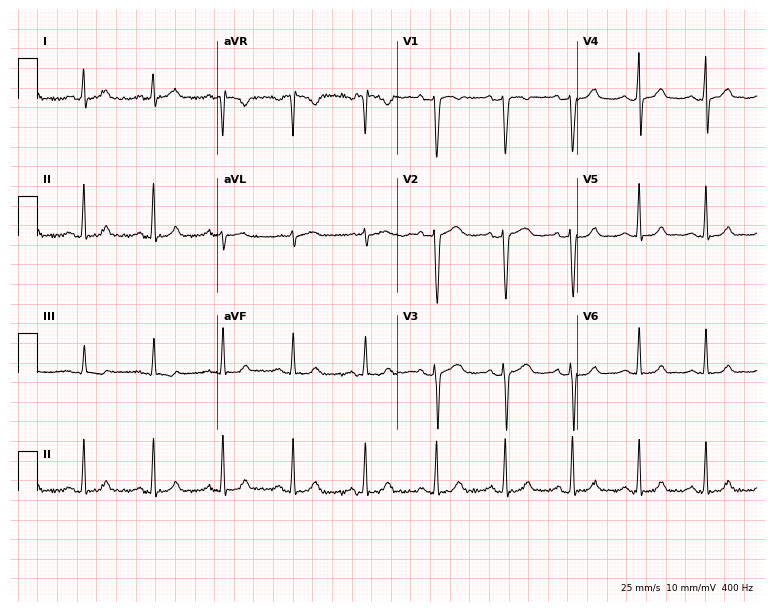
12-lead ECG from a 41-year-old female patient. No first-degree AV block, right bundle branch block, left bundle branch block, sinus bradycardia, atrial fibrillation or sinus tachycardia recorded for this tracing. Findings outside these six are not listed.